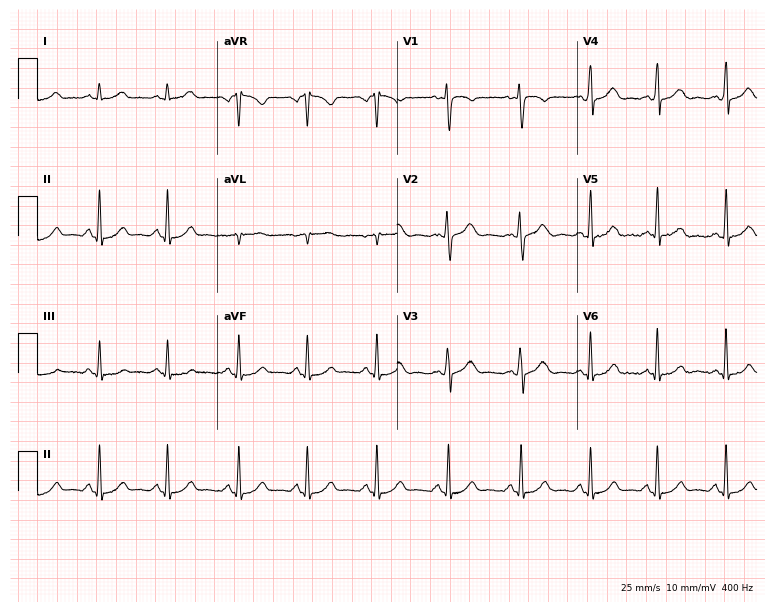
12-lead ECG from a 27-year-old female patient. Recorded interpretation: within normal limits.